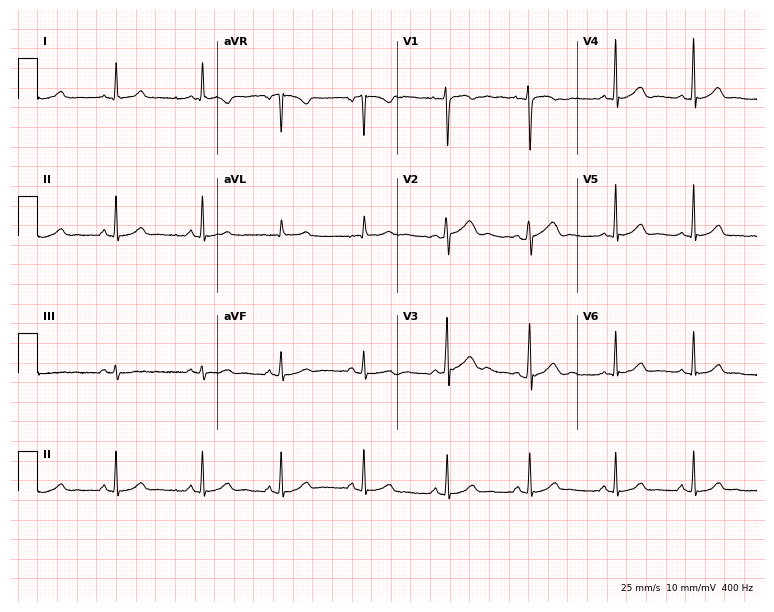
12-lead ECG from a female patient, 17 years old (7.3-second recording at 400 Hz). Recorded interpretation: within normal limits.